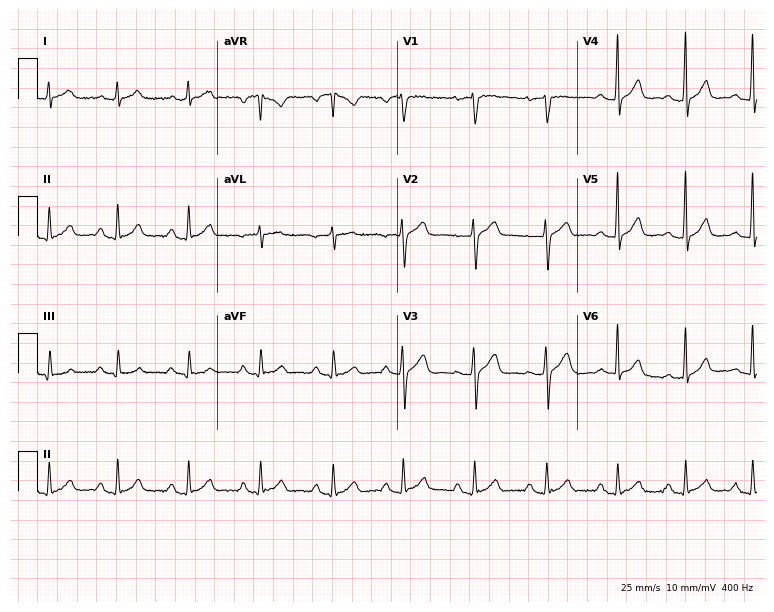
12-lead ECG from a male, 58 years old. No first-degree AV block, right bundle branch block, left bundle branch block, sinus bradycardia, atrial fibrillation or sinus tachycardia recorded for this tracing. Other findings, if any, are not listed.